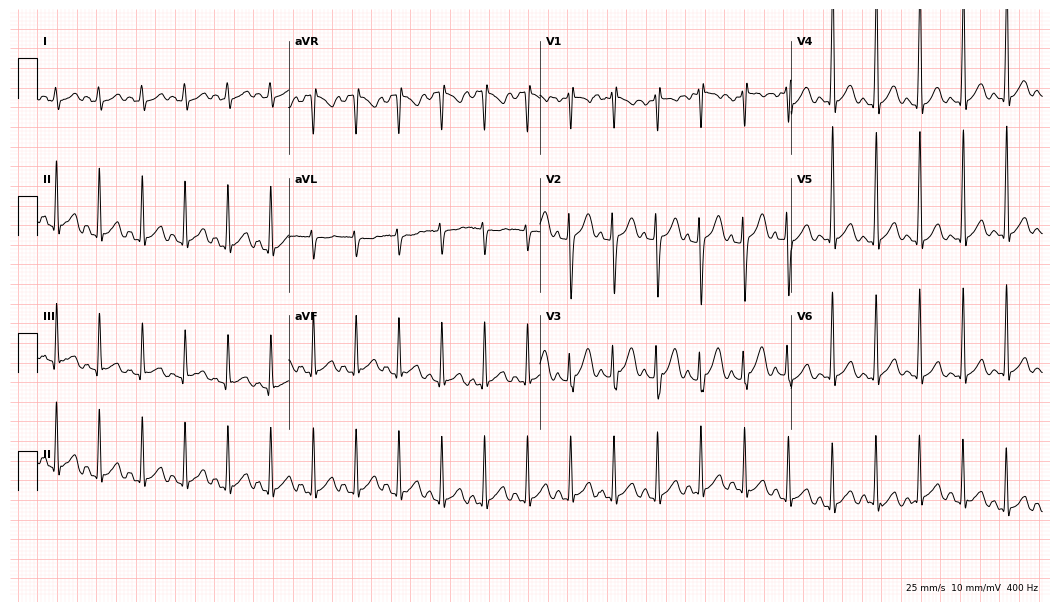
ECG — a female, 27 years old. Screened for six findings — first-degree AV block, right bundle branch block (RBBB), left bundle branch block (LBBB), sinus bradycardia, atrial fibrillation (AF), sinus tachycardia — none is recorded.